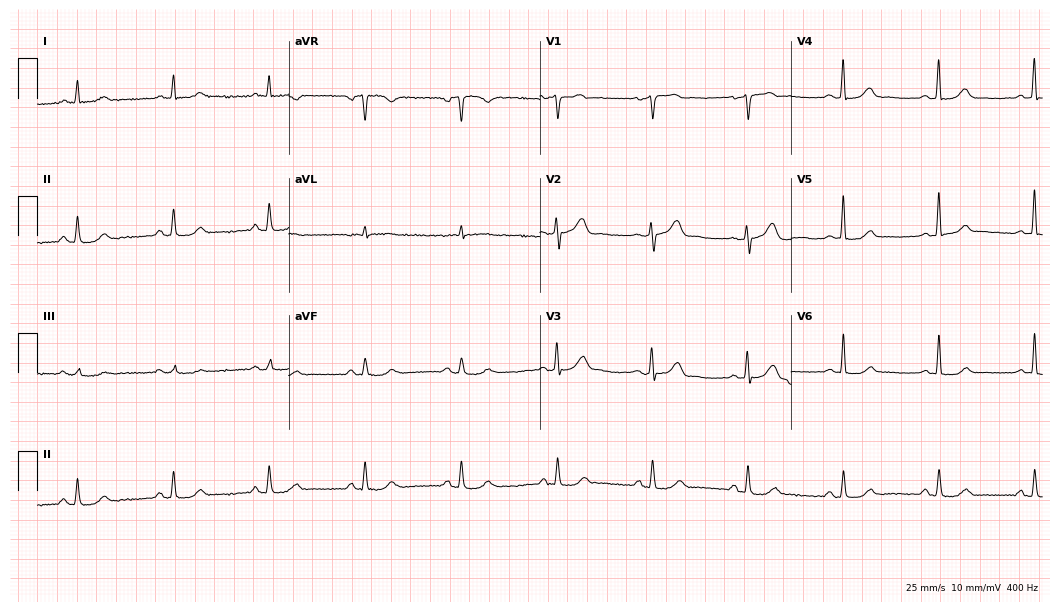
Resting 12-lead electrocardiogram. Patient: a 59-year-old man. Read as a normal ECG.